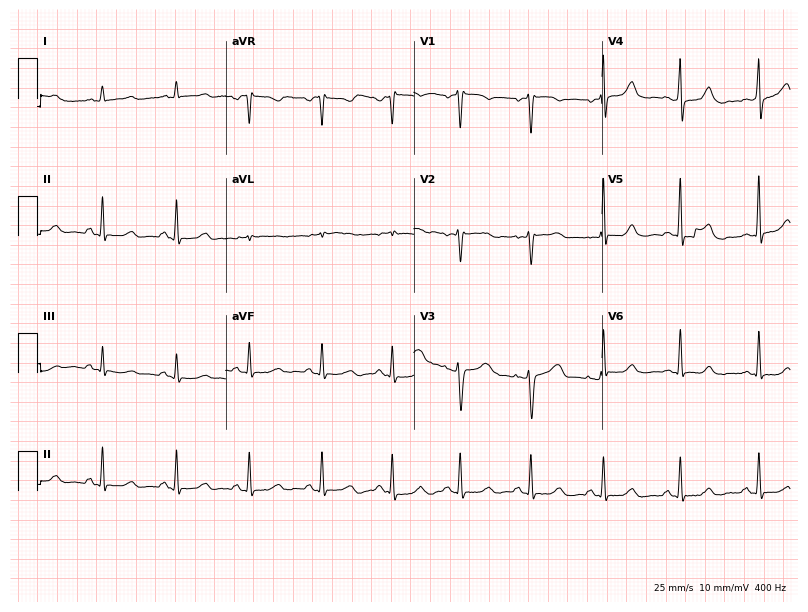
12-lead ECG from a female patient, 50 years old. No first-degree AV block, right bundle branch block (RBBB), left bundle branch block (LBBB), sinus bradycardia, atrial fibrillation (AF) or sinus tachycardia recorded for this tracing.